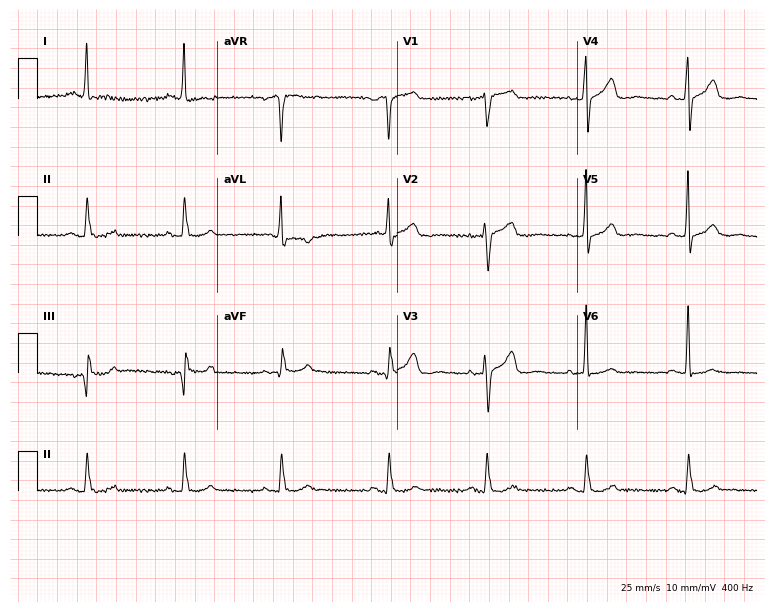
Electrocardiogram (7.3-second recording at 400 Hz), a 64-year-old woman. Overall reading on record: normal ECG.